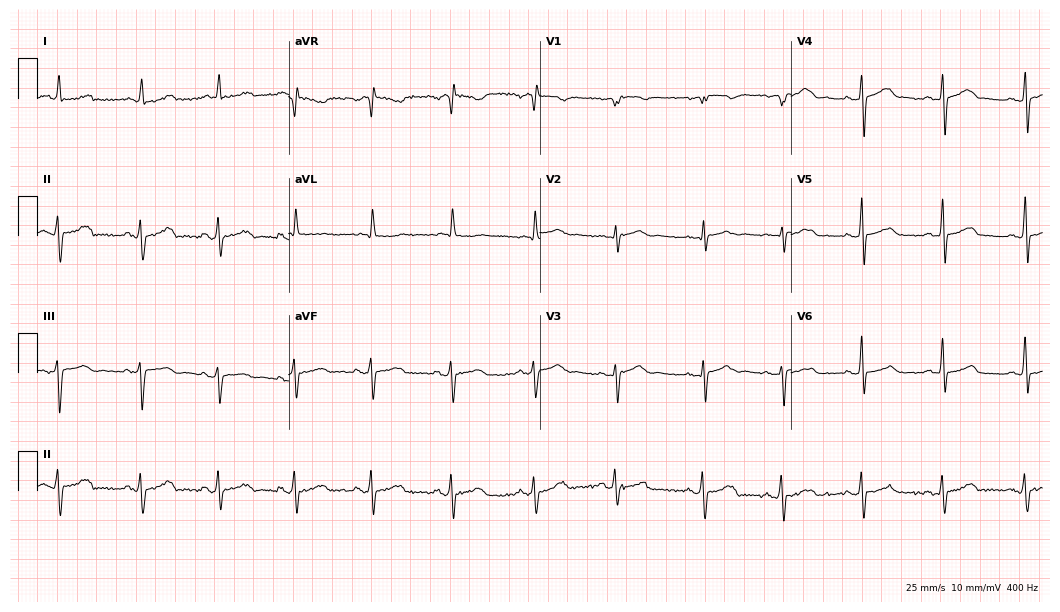
12-lead ECG from a 77-year-old woman. Labelled as a normal ECG.